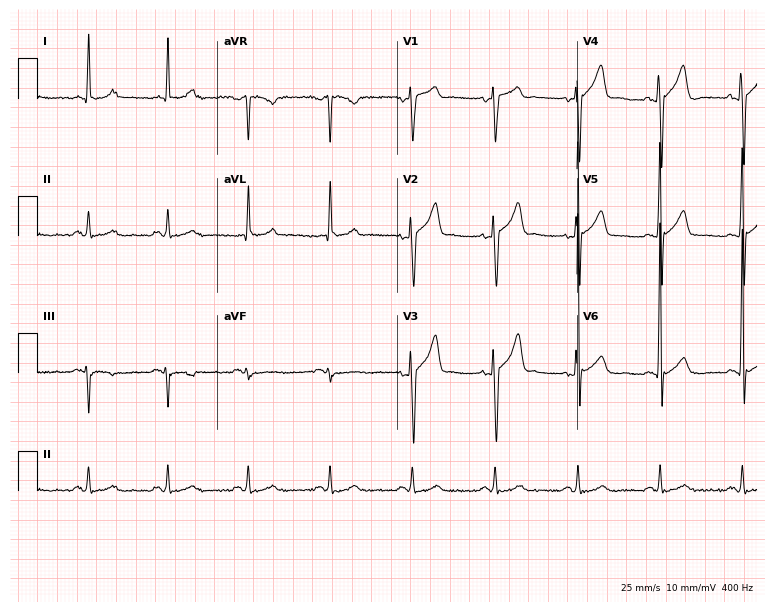
12-lead ECG from a male patient, 64 years old. Labelled as a normal ECG.